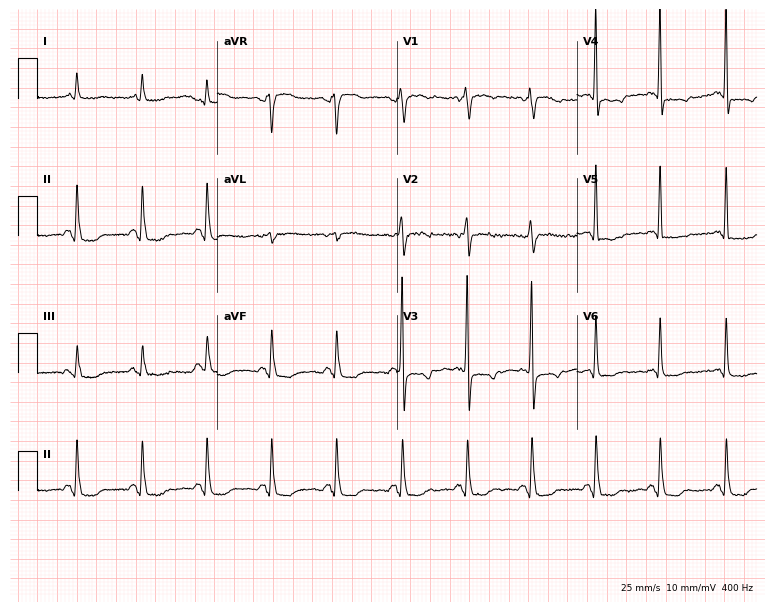
Resting 12-lead electrocardiogram (7.3-second recording at 400 Hz). Patient: a 75-year-old female. None of these six findings is recorded: first-degree AV block, right bundle branch block, left bundle branch block, sinus bradycardia, atrial fibrillation, sinus tachycardia. Only these six findings were labelled.